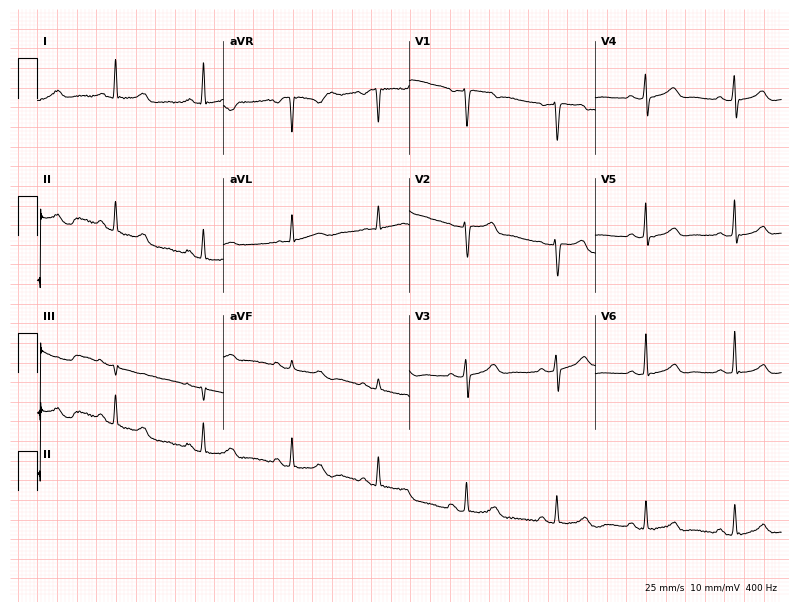
ECG — a 56-year-old woman. Labelled as a normal ECG.